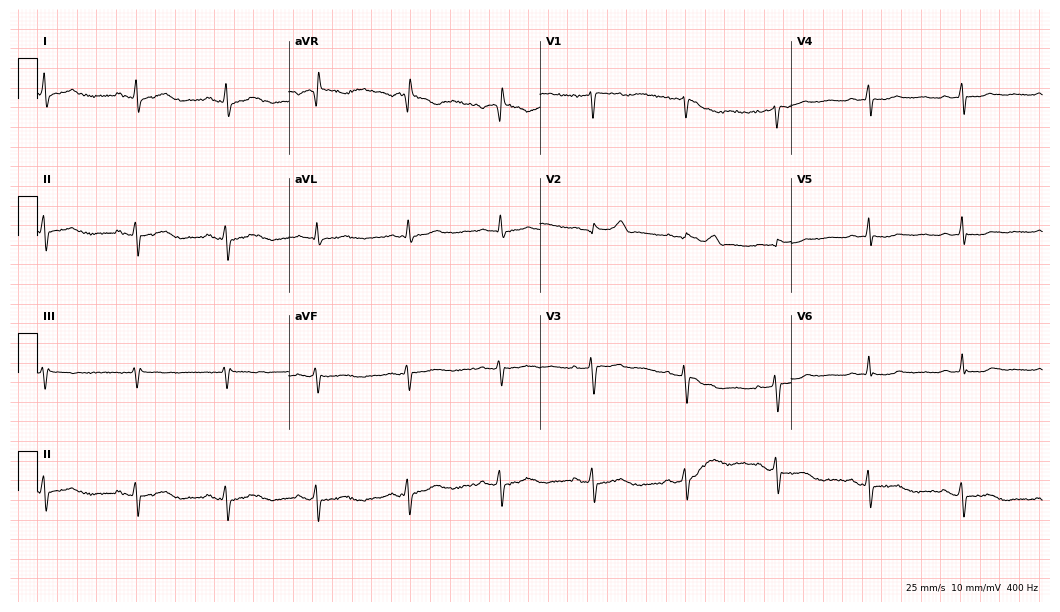
12-lead ECG from a 60-year-old female patient. Screened for six findings — first-degree AV block, right bundle branch block, left bundle branch block, sinus bradycardia, atrial fibrillation, sinus tachycardia — none is recorded.